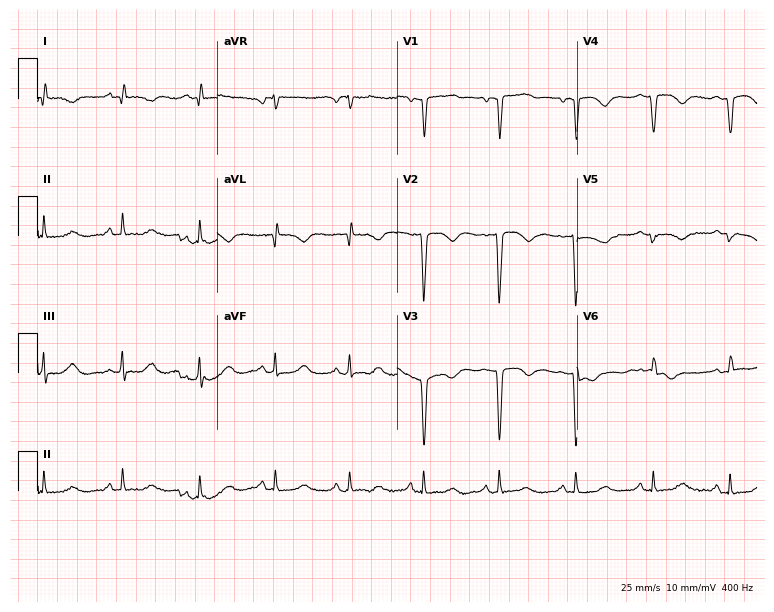
12-lead ECG from a 60-year-old female patient (7.3-second recording at 400 Hz). No first-degree AV block, right bundle branch block (RBBB), left bundle branch block (LBBB), sinus bradycardia, atrial fibrillation (AF) or sinus tachycardia recorded for this tracing.